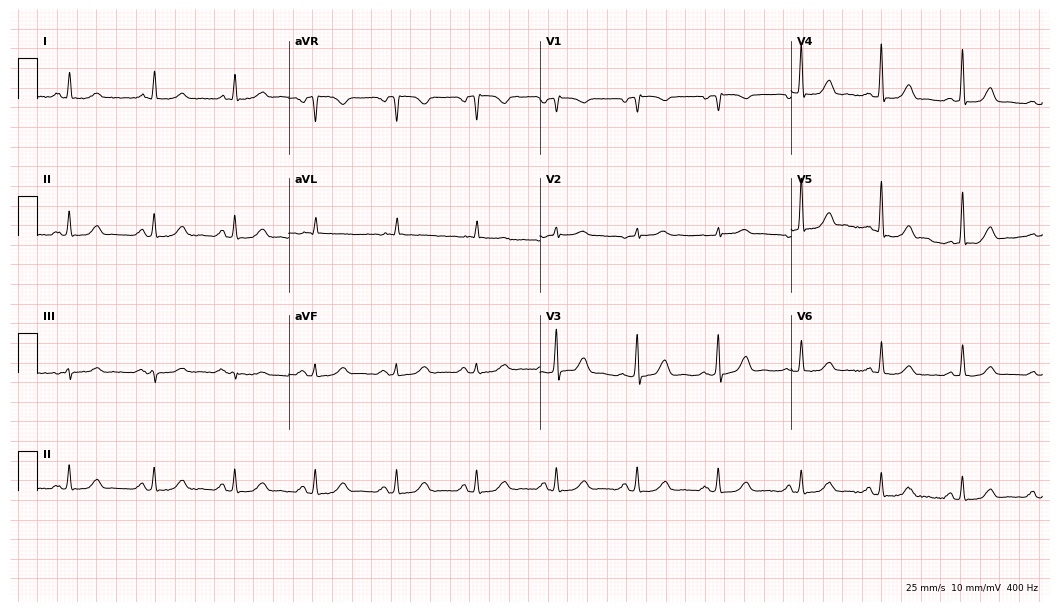
12-lead ECG (10.2-second recording at 400 Hz) from a 65-year-old female patient. Labelled as a normal ECG.